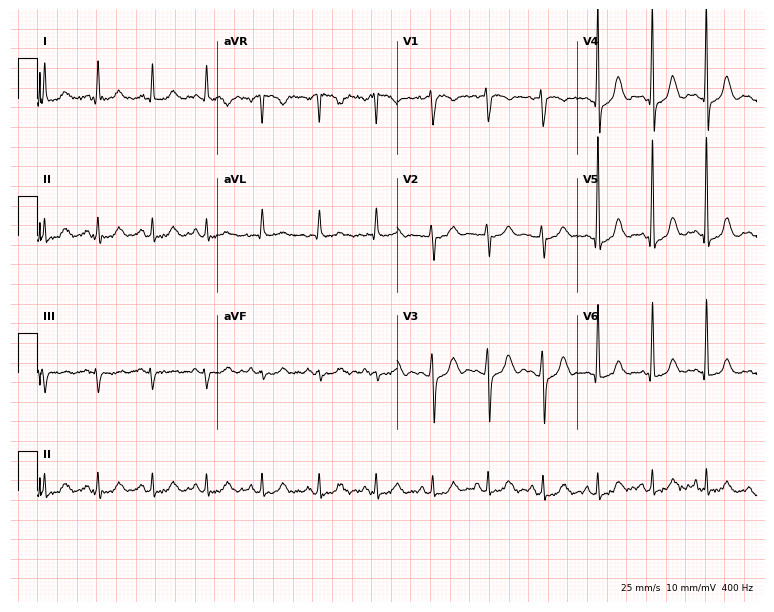
Electrocardiogram, a 57-year-old woman. Of the six screened findings (first-degree AV block, right bundle branch block, left bundle branch block, sinus bradycardia, atrial fibrillation, sinus tachycardia), none is recorded.